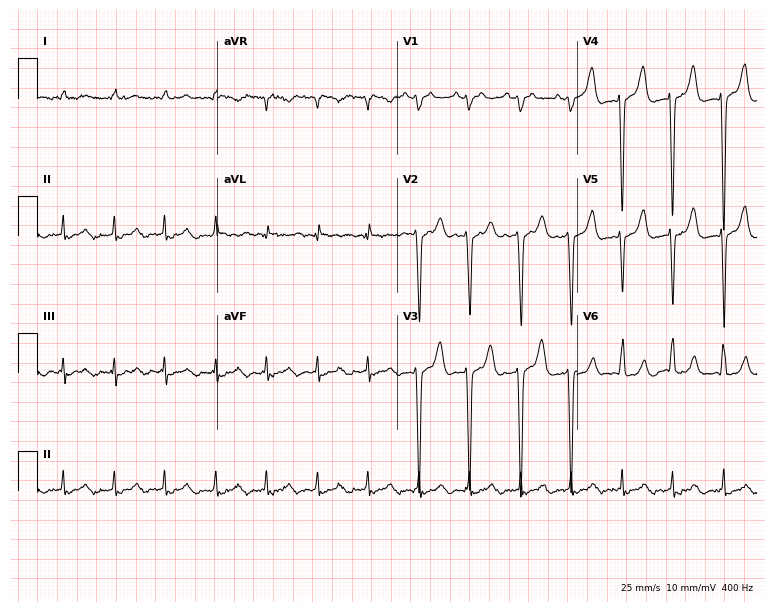
Electrocardiogram, a man, 58 years old. Of the six screened findings (first-degree AV block, right bundle branch block, left bundle branch block, sinus bradycardia, atrial fibrillation, sinus tachycardia), none is recorded.